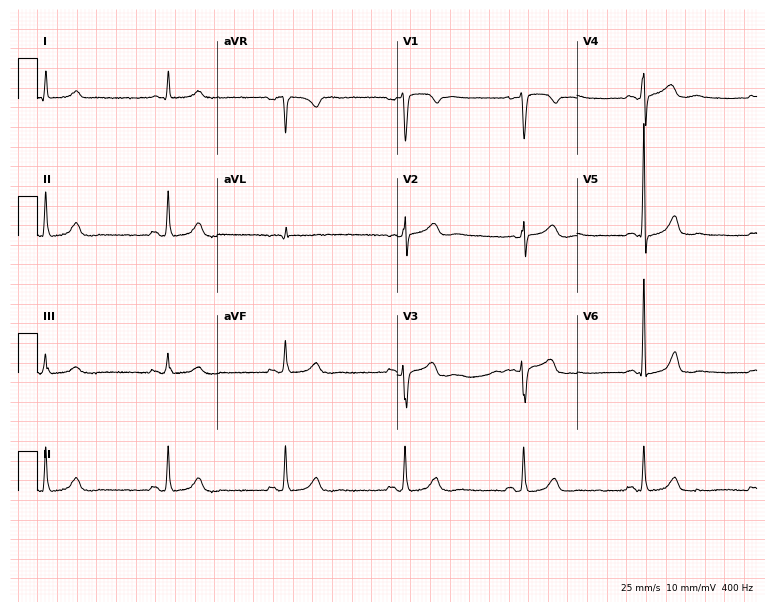
12-lead ECG from a 53-year-old woman. Labelled as a normal ECG.